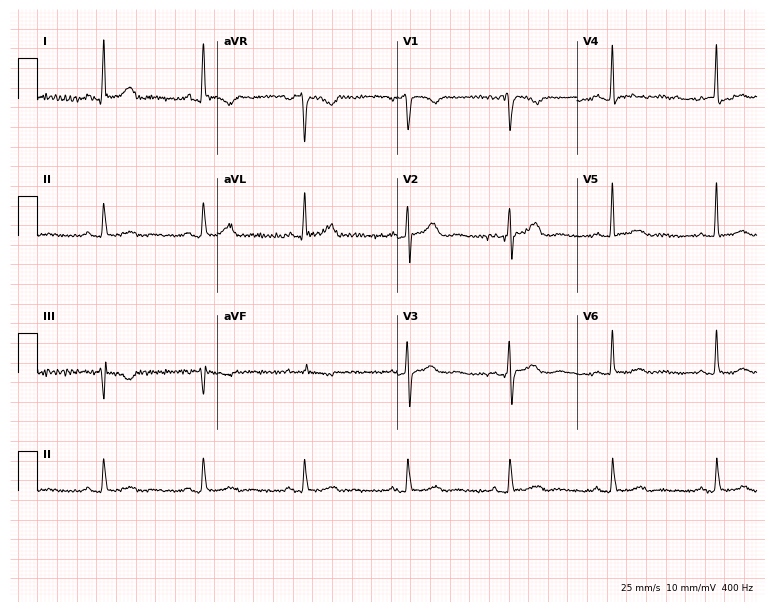
ECG — a 61-year-old woman. Labelled as a normal ECG.